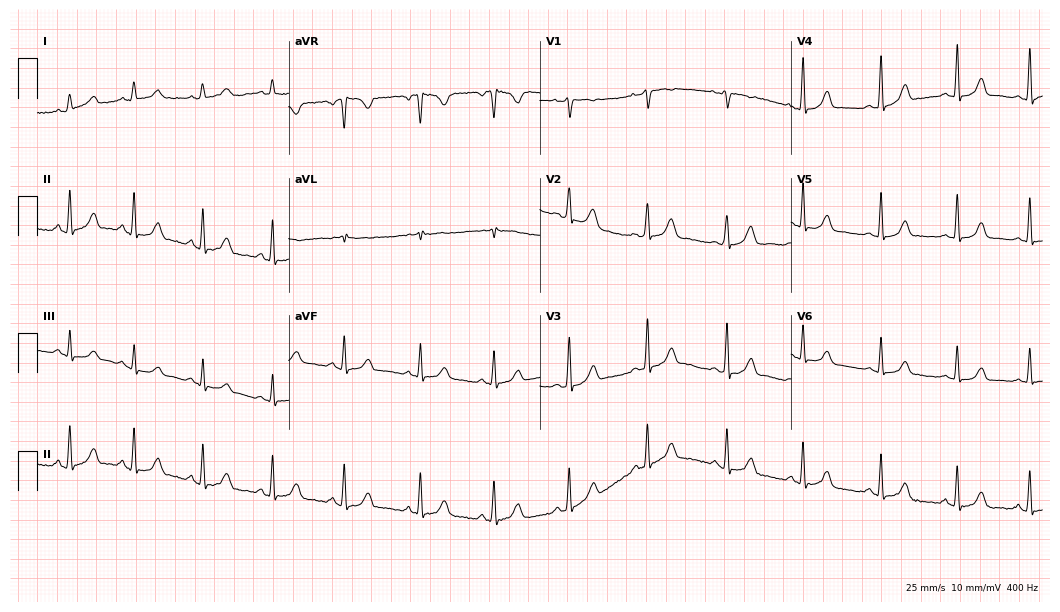
Electrocardiogram (10.2-second recording at 400 Hz), a 33-year-old woman. Overall reading on record: normal ECG.